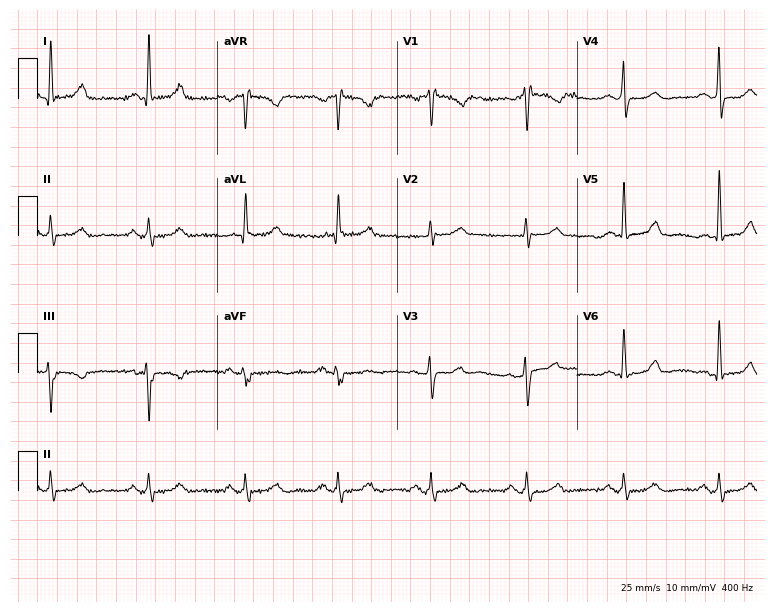
Resting 12-lead electrocardiogram. Patient: a 72-year-old female. Read as a normal ECG.